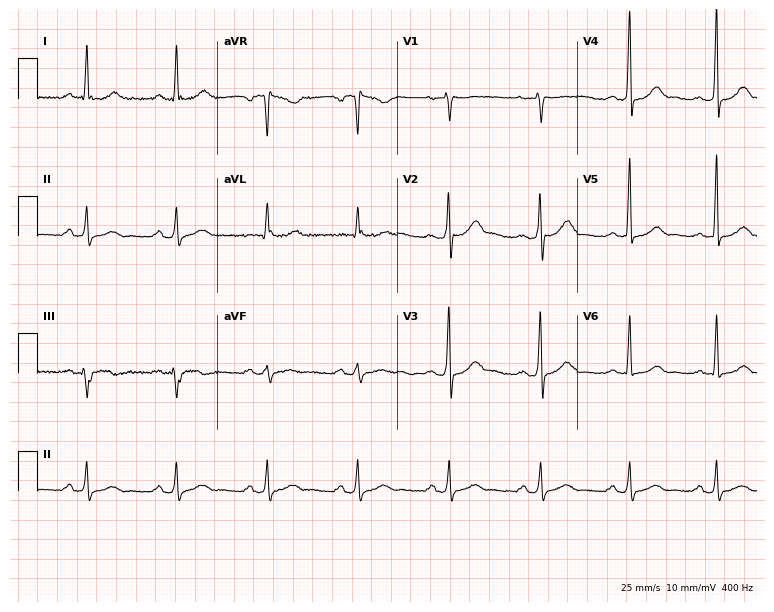
Resting 12-lead electrocardiogram. Patient: a 44-year-old man. None of these six findings is recorded: first-degree AV block, right bundle branch block, left bundle branch block, sinus bradycardia, atrial fibrillation, sinus tachycardia. Findings outside these six are not listed.